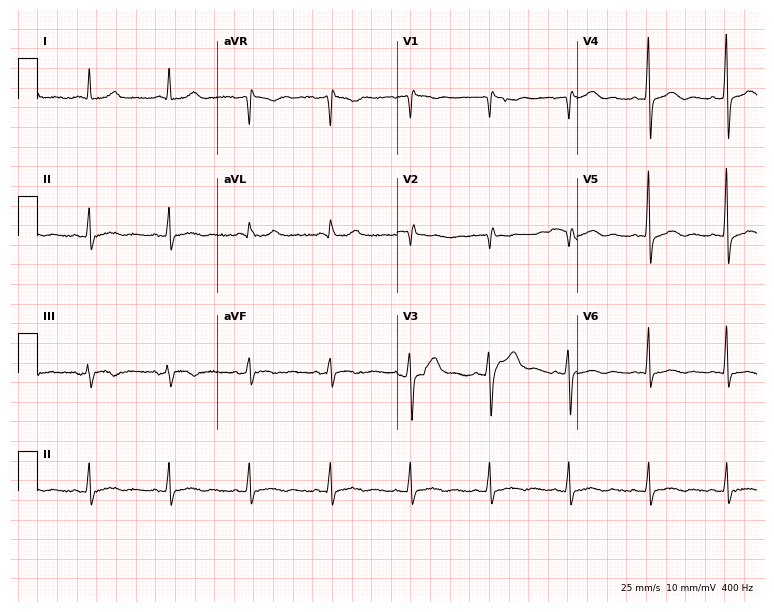
Resting 12-lead electrocardiogram. Patient: a 46-year-old male. None of these six findings is recorded: first-degree AV block, right bundle branch block, left bundle branch block, sinus bradycardia, atrial fibrillation, sinus tachycardia. Other findings, if any, are not listed.